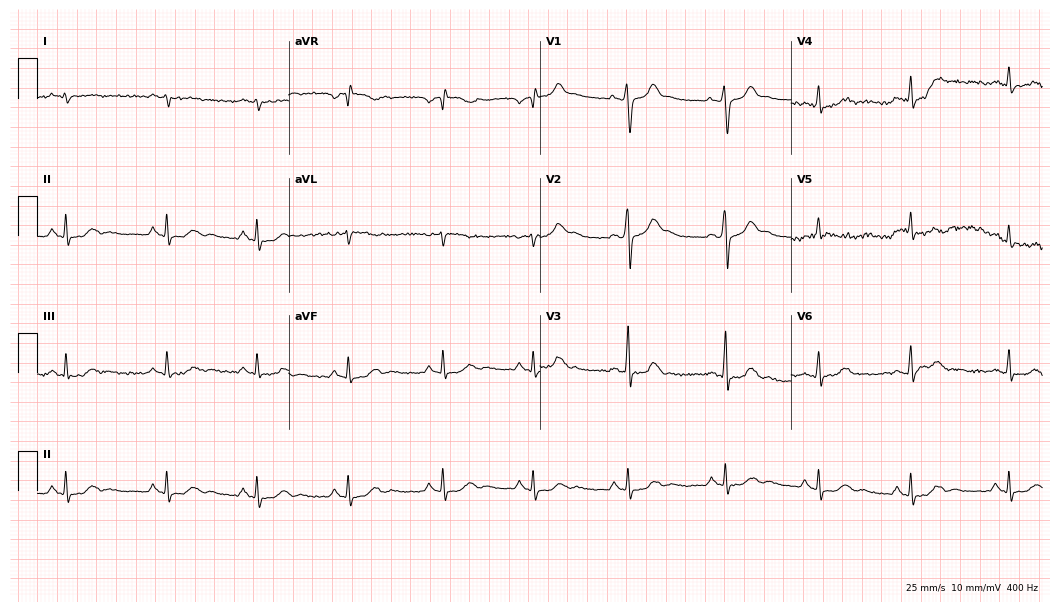
12-lead ECG from a male patient, 40 years old. Screened for six findings — first-degree AV block, right bundle branch block, left bundle branch block, sinus bradycardia, atrial fibrillation, sinus tachycardia — none is recorded. Findings outside these six are not listed.